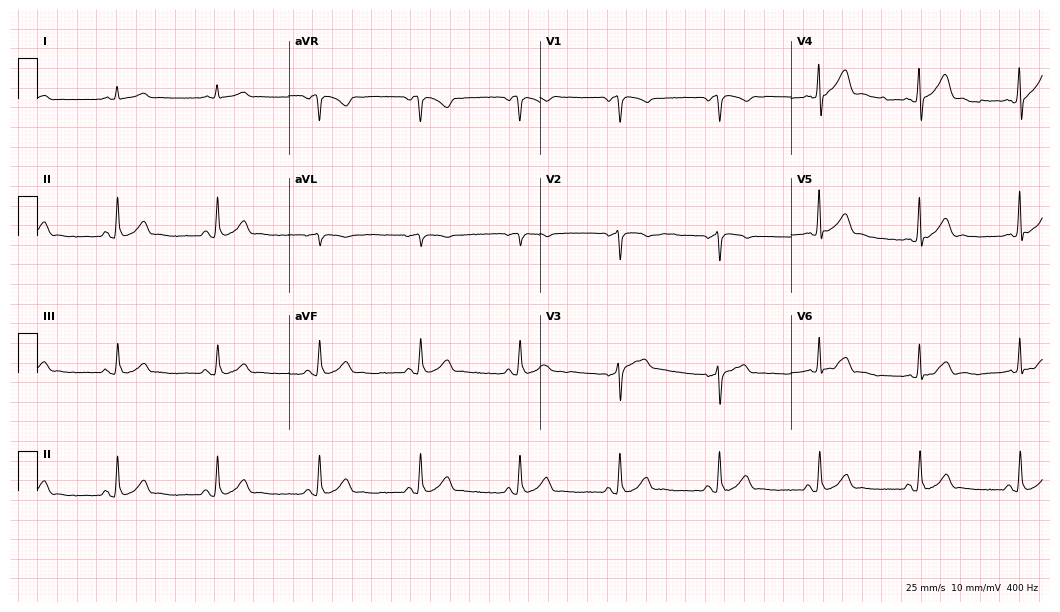
ECG (10.2-second recording at 400 Hz) — a male patient, 53 years old. Screened for six findings — first-degree AV block, right bundle branch block, left bundle branch block, sinus bradycardia, atrial fibrillation, sinus tachycardia — none is recorded. Other findings, if any, are not listed.